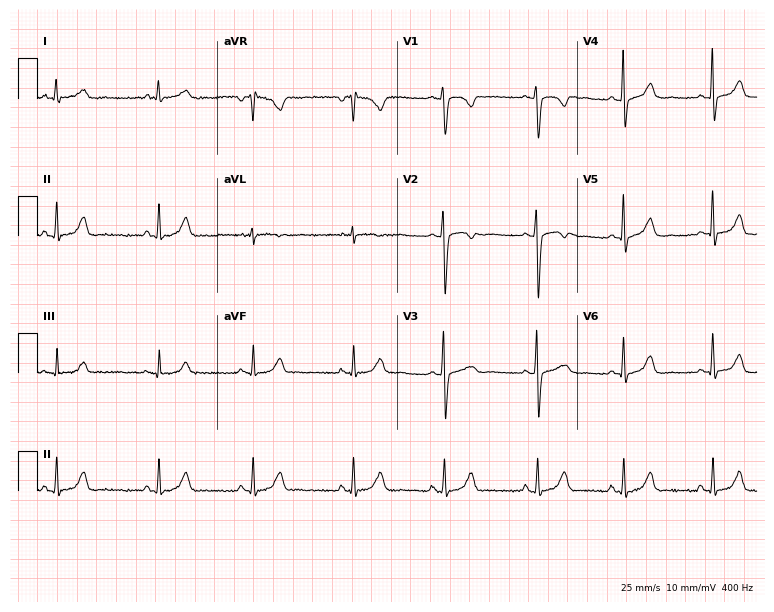
12-lead ECG (7.3-second recording at 400 Hz) from a female patient, 42 years old. Labelled as a normal ECG.